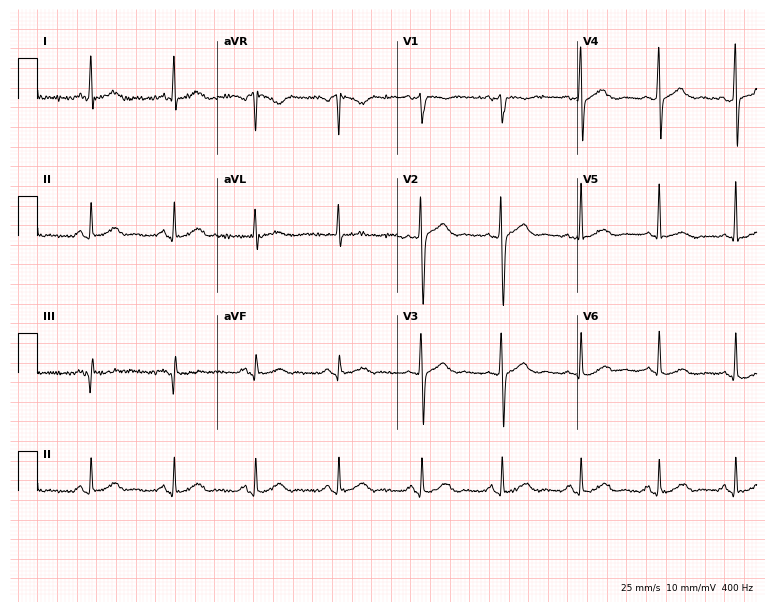
Resting 12-lead electrocardiogram. Patient: a male, 44 years old. Read as a normal ECG.